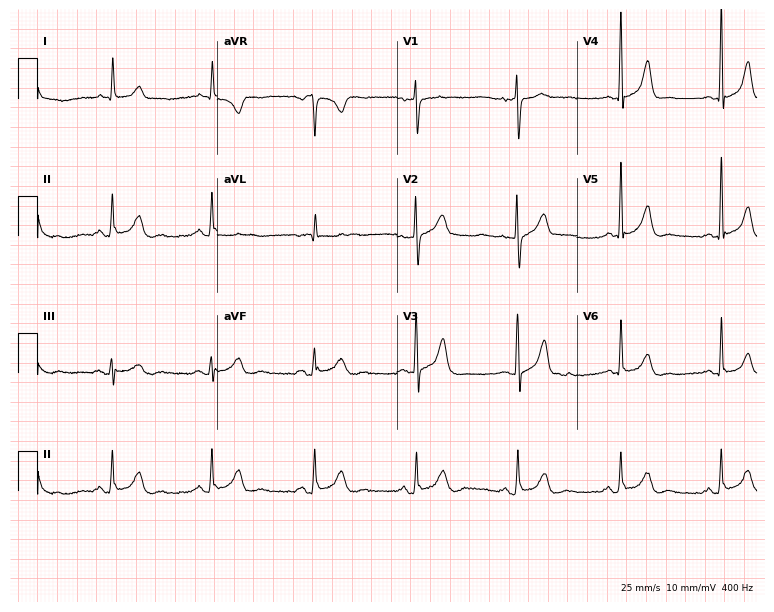
Electrocardiogram, a 68-year-old female. Of the six screened findings (first-degree AV block, right bundle branch block, left bundle branch block, sinus bradycardia, atrial fibrillation, sinus tachycardia), none is recorded. Findings outside these six are not listed.